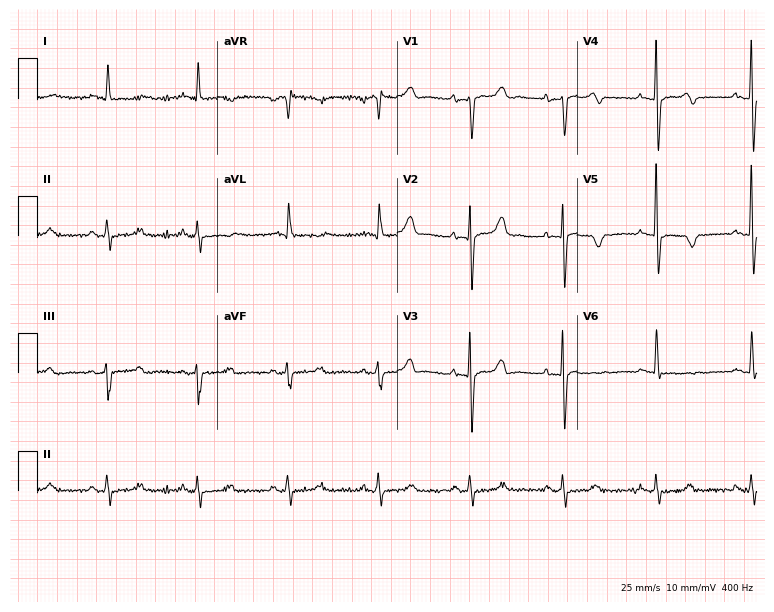
ECG — a 78-year-old woman. Screened for six findings — first-degree AV block, right bundle branch block, left bundle branch block, sinus bradycardia, atrial fibrillation, sinus tachycardia — none is recorded. Findings outside these six are not listed.